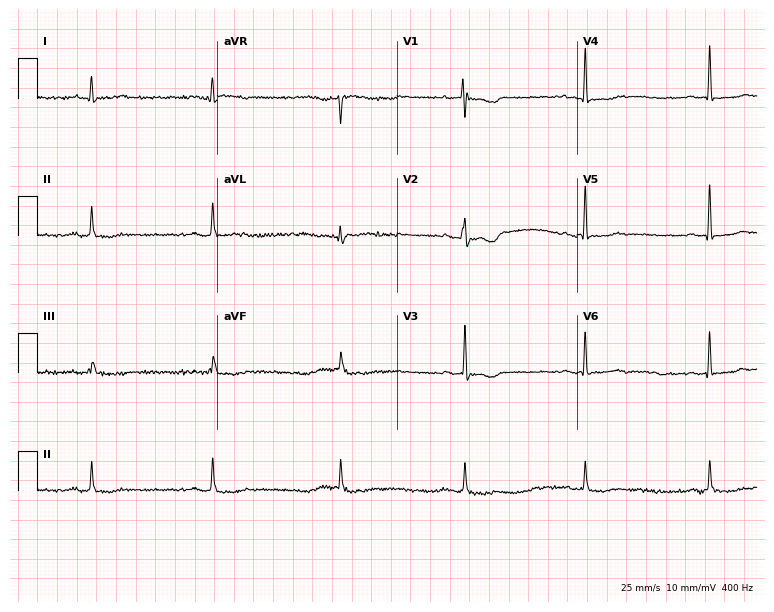
ECG (7.3-second recording at 400 Hz) — a female patient, 73 years old. Findings include sinus bradycardia (a sinus rate of 50 beats per minute or less).